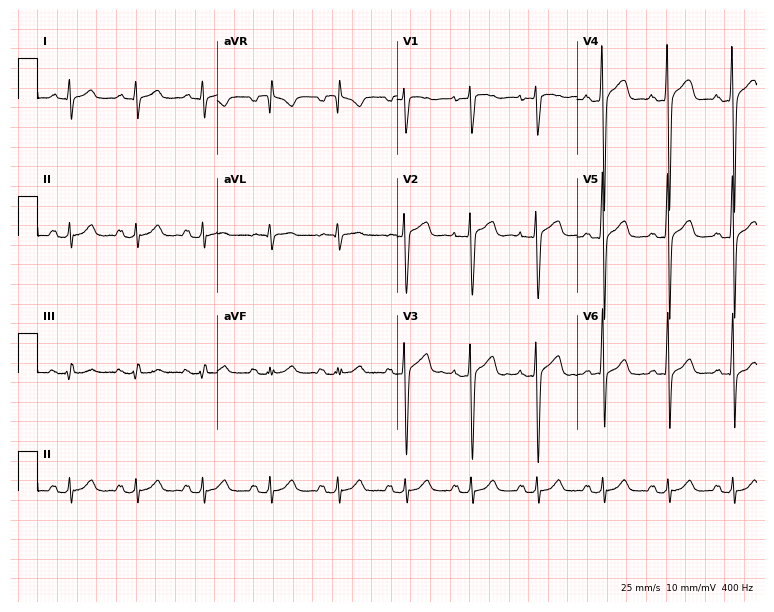
12-lead ECG from a man, 38 years old. Screened for six findings — first-degree AV block, right bundle branch block (RBBB), left bundle branch block (LBBB), sinus bradycardia, atrial fibrillation (AF), sinus tachycardia — none is recorded. Other findings, if any, are not listed.